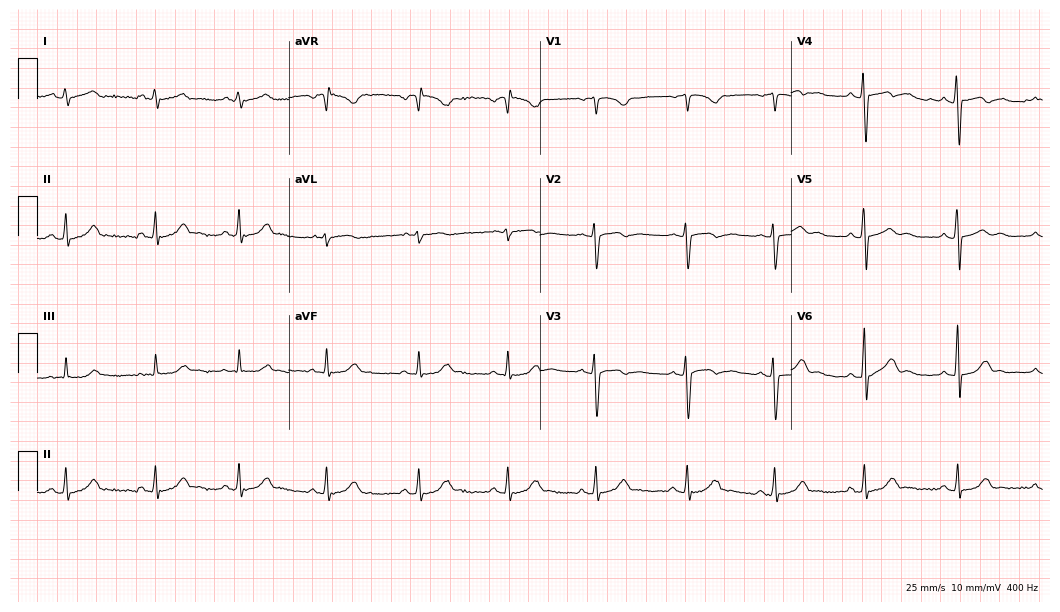
Standard 12-lead ECG recorded from a female patient, 23 years old. Read as a normal ECG.